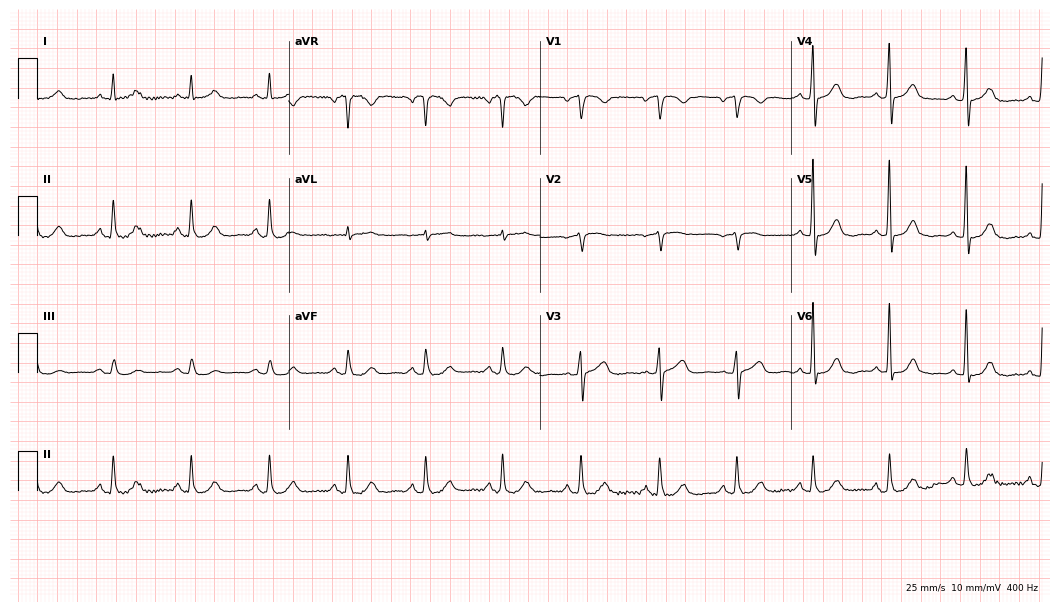
Electrocardiogram (10.2-second recording at 400 Hz), a 75-year-old man. Overall reading on record: normal ECG.